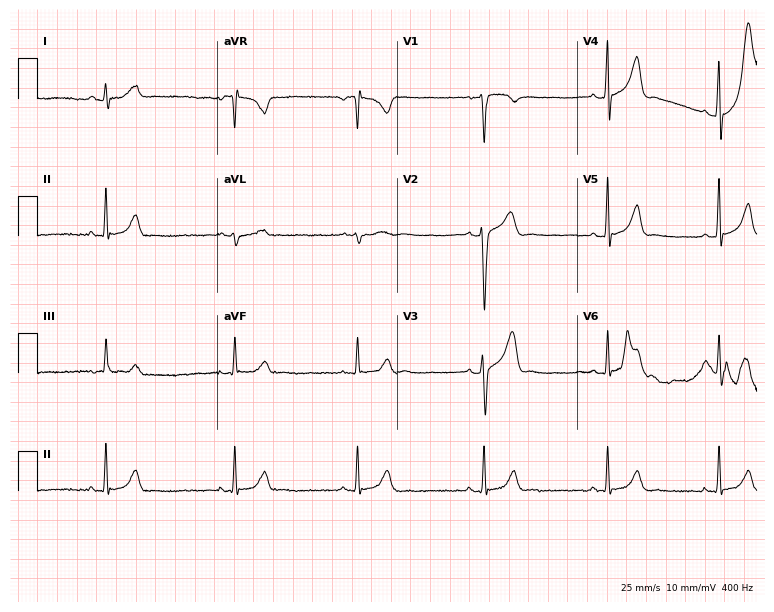
12-lead ECG from a male patient, 35 years old (7.3-second recording at 400 Hz). Shows sinus bradycardia (a sinus rate of 50 beats per minute or less).